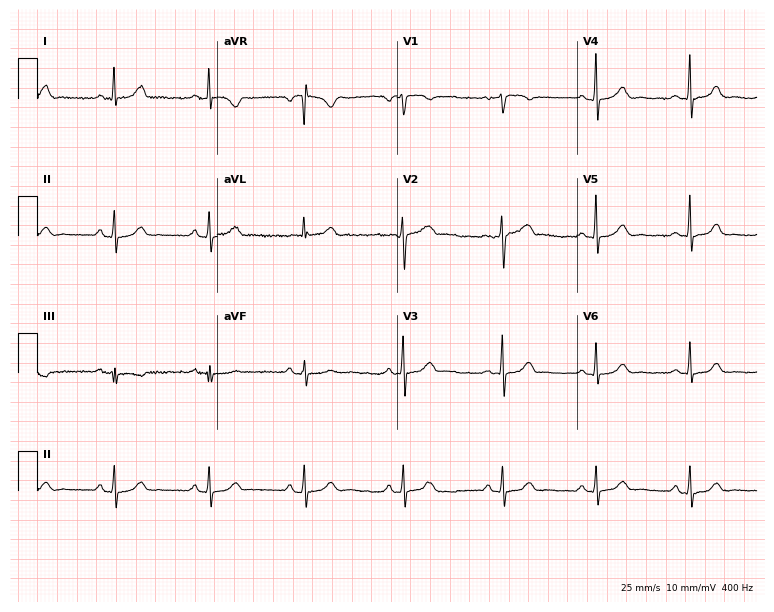
Standard 12-lead ECG recorded from a female patient, 48 years old (7.3-second recording at 400 Hz). Read as a normal ECG.